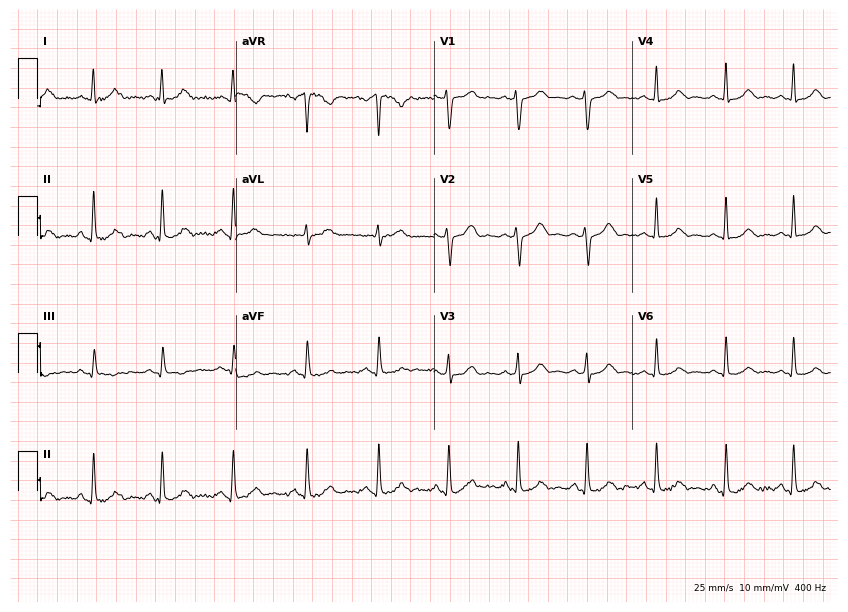
Standard 12-lead ECG recorded from a female patient, 38 years old. None of these six findings is recorded: first-degree AV block, right bundle branch block (RBBB), left bundle branch block (LBBB), sinus bradycardia, atrial fibrillation (AF), sinus tachycardia. Only these six findings were labelled.